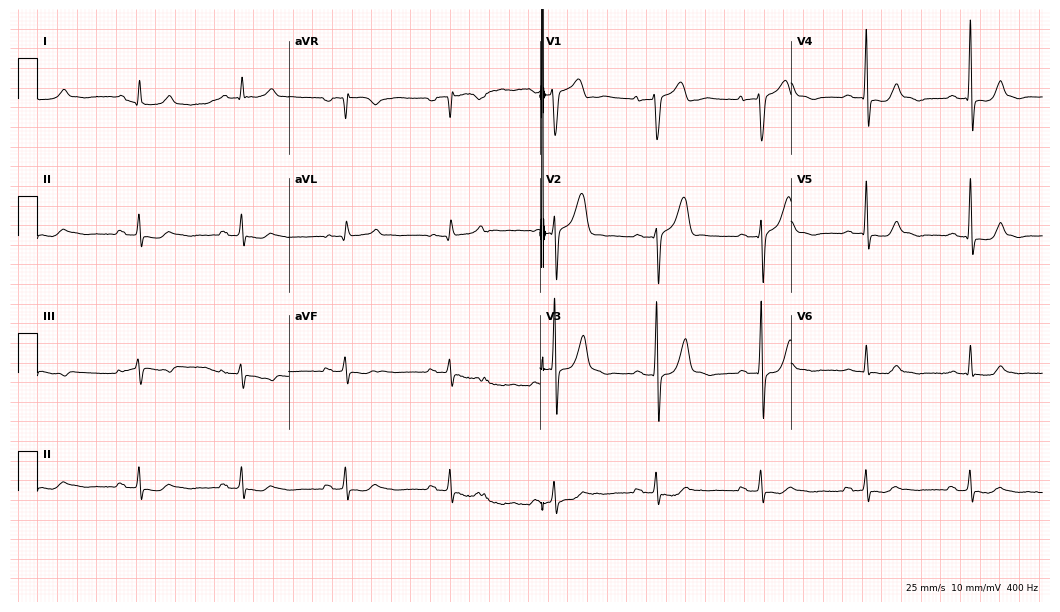
Standard 12-lead ECG recorded from a 69-year-old man. Read as a normal ECG.